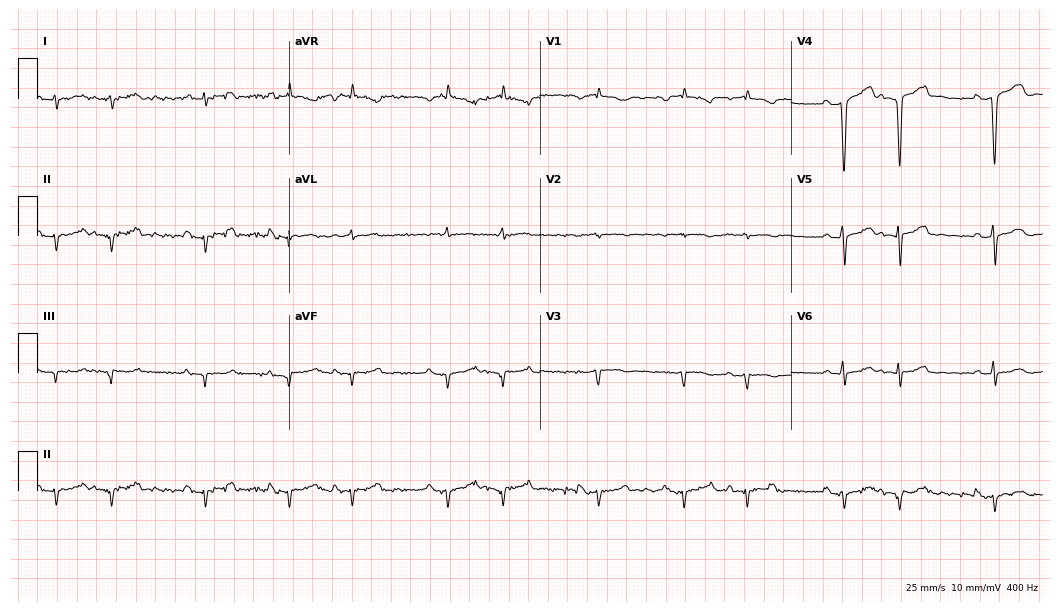
Resting 12-lead electrocardiogram. Patient: a 69-year-old male. None of these six findings is recorded: first-degree AV block, right bundle branch block, left bundle branch block, sinus bradycardia, atrial fibrillation, sinus tachycardia. Other findings, if any, are not listed.